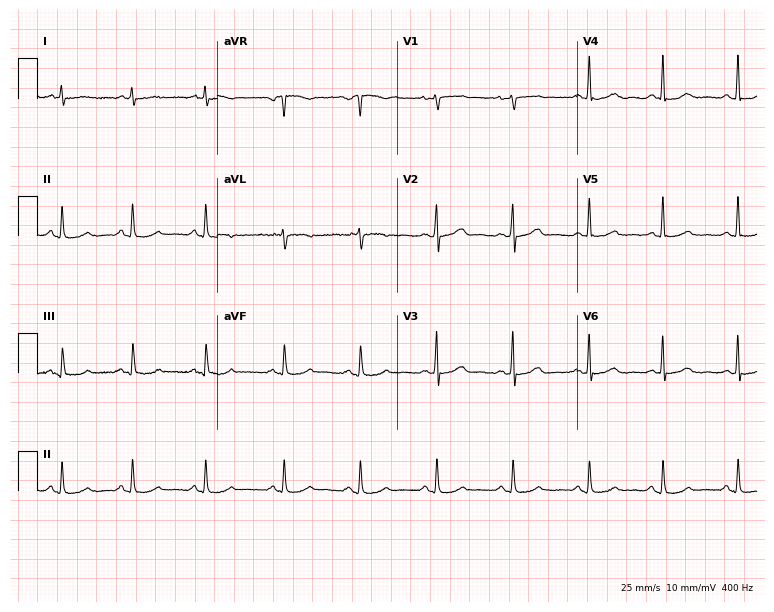
12-lead ECG from a woman, 51 years old. Screened for six findings — first-degree AV block, right bundle branch block, left bundle branch block, sinus bradycardia, atrial fibrillation, sinus tachycardia — none is recorded. Findings outside these six are not listed.